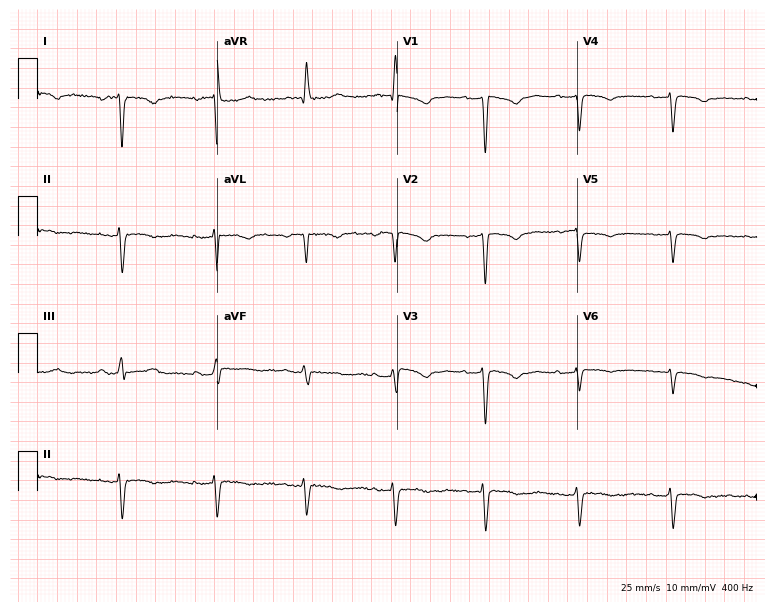
Standard 12-lead ECG recorded from a 55-year-old woman. None of these six findings is recorded: first-degree AV block, right bundle branch block, left bundle branch block, sinus bradycardia, atrial fibrillation, sinus tachycardia.